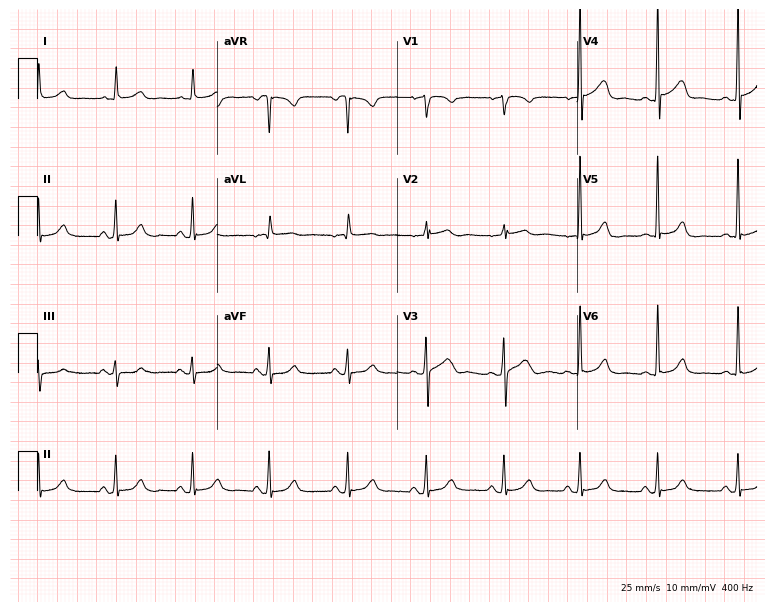
ECG — a 75-year-old female patient. Labelled as a normal ECG.